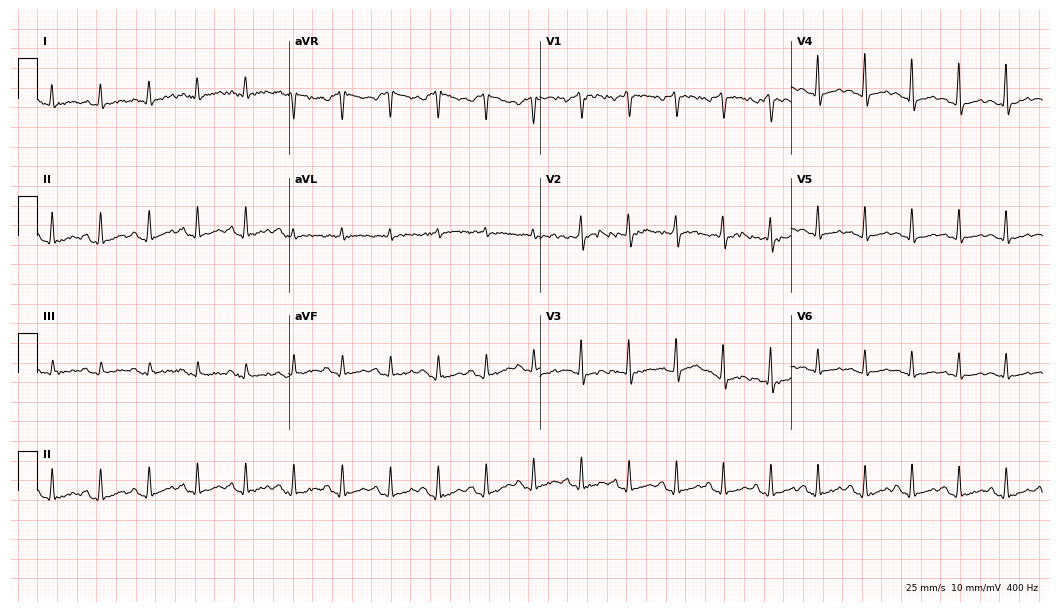
ECG (10.2-second recording at 400 Hz) — a man, 62 years old. Findings include sinus tachycardia (a sinus rate of 100 beats per minute or more).